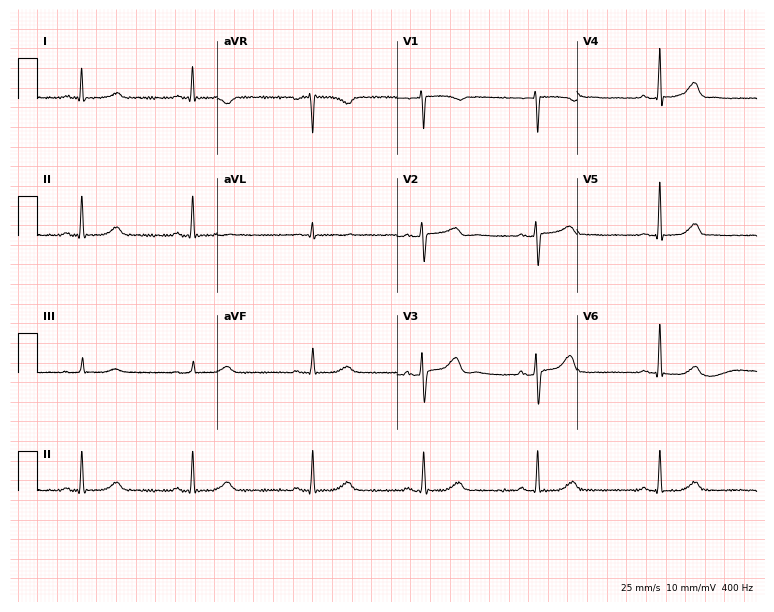
Standard 12-lead ECG recorded from a 50-year-old woman. None of these six findings is recorded: first-degree AV block, right bundle branch block (RBBB), left bundle branch block (LBBB), sinus bradycardia, atrial fibrillation (AF), sinus tachycardia. Other findings, if any, are not listed.